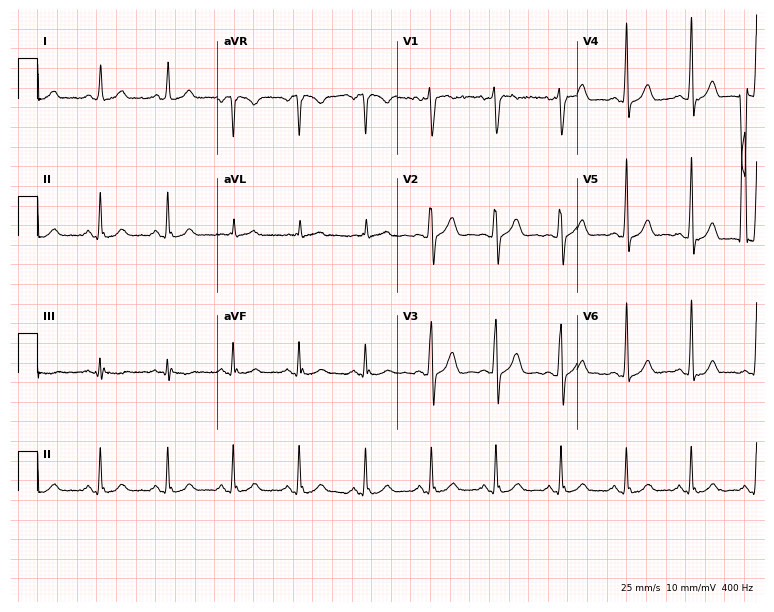
ECG — a woman, 42 years old. Labelled as a normal ECG.